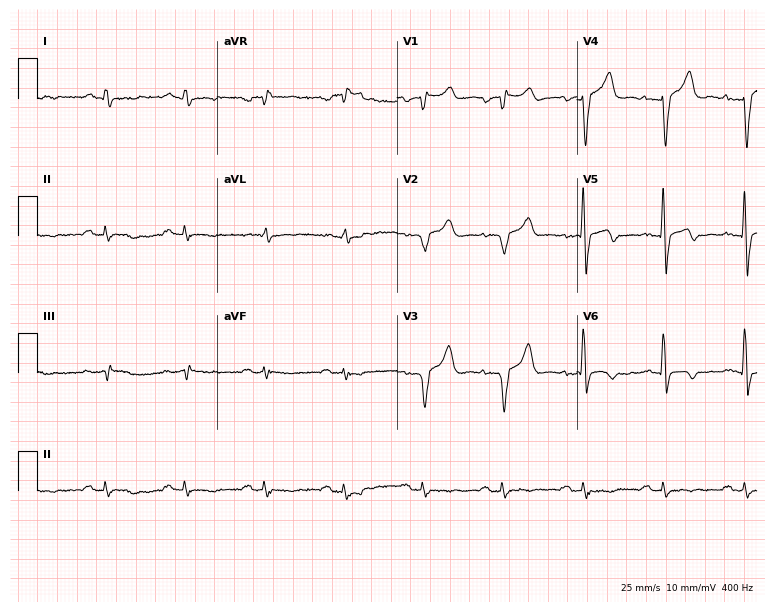
12-lead ECG from a 64-year-old man. Screened for six findings — first-degree AV block, right bundle branch block, left bundle branch block, sinus bradycardia, atrial fibrillation, sinus tachycardia — none is recorded.